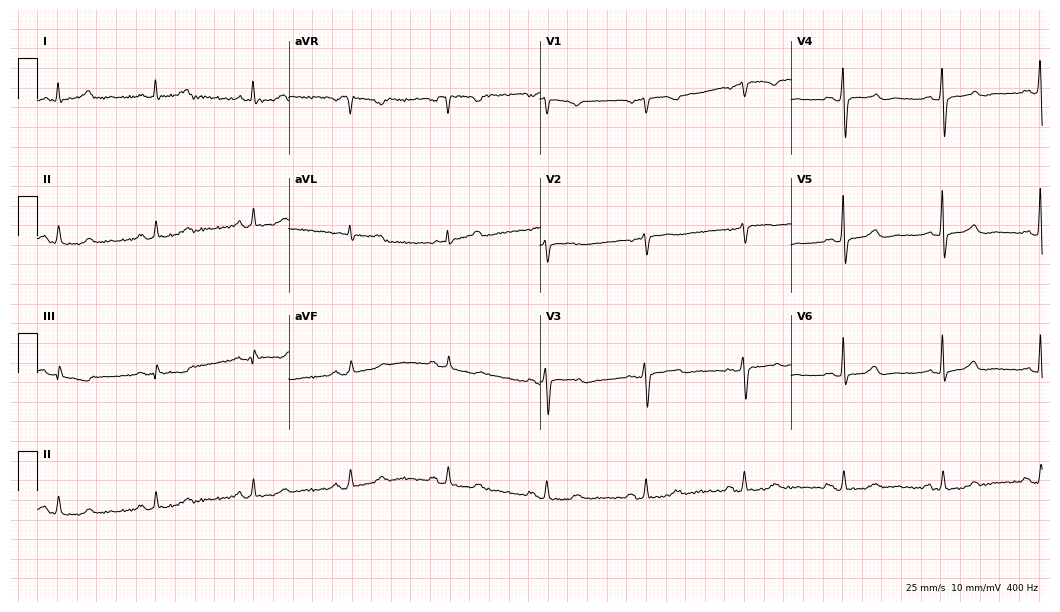
Resting 12-lead electrocardiogram (10.2-second recording at 400 Hz). Patient: a 69-year-old female. None of these six findings is recorded: first-degree AV block, right bundle branch block, left bundle branch block, sinus bradycardia, atrial fibrillation, sinus tachycardia. Other findings, if any, are not listed.